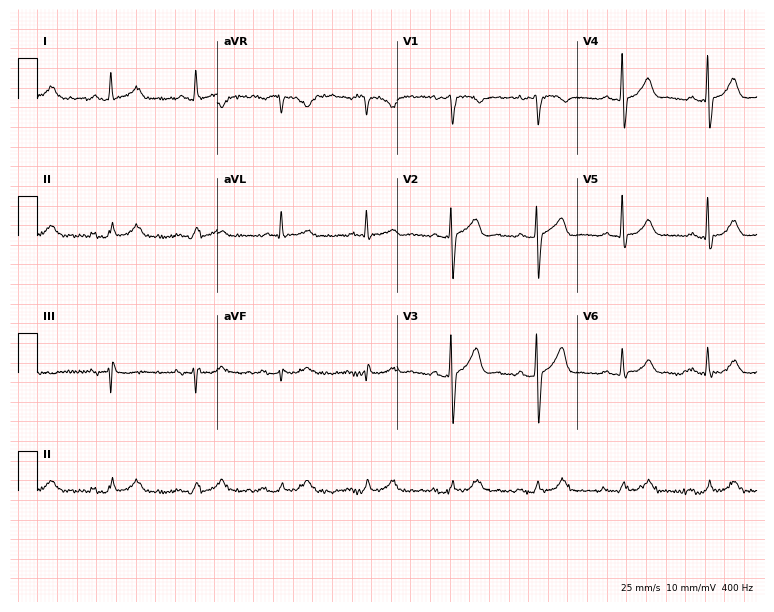
12-lead ECG from a man, 66 years old. Recorded interpretation: within normal limits.